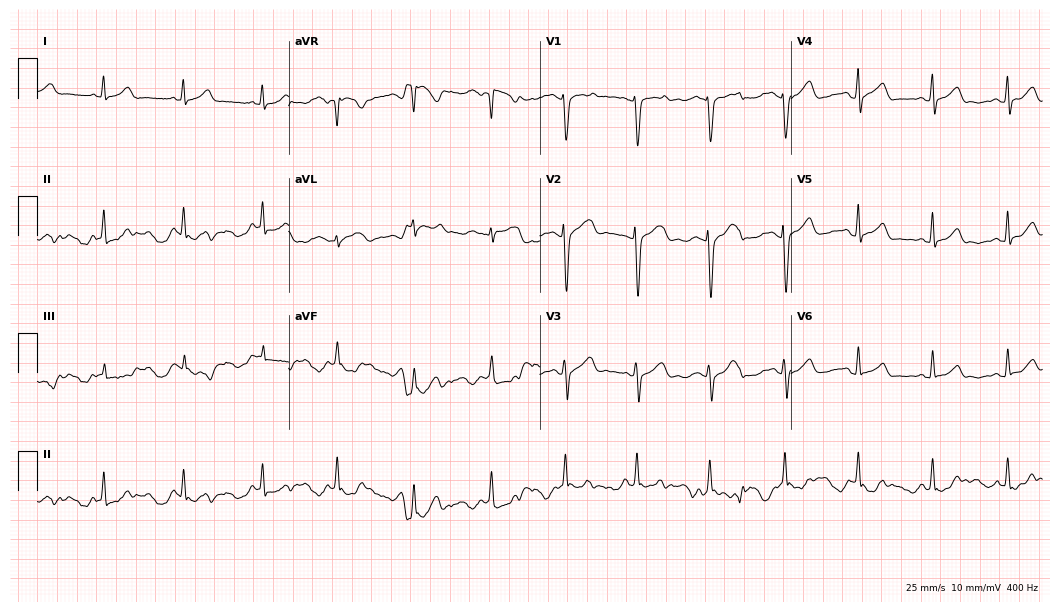
Resting 12-lead electrocardiogram (10.2-second recording at 400 Hz). Patient: a female, 31 years old. None of these six findings is recorded: first-degree AV block, right bundle branch block, left bundle branch block, sinus bradycardia, atrial fibrillation, sinus tachycardia.